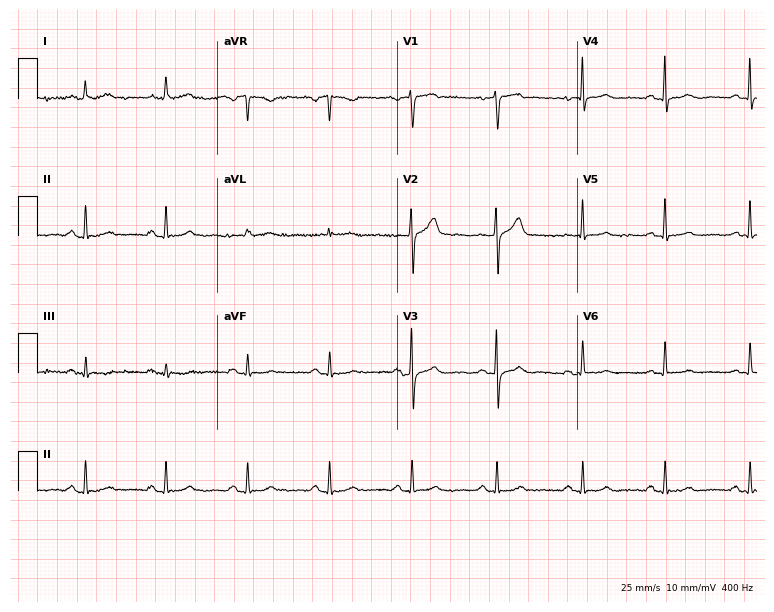
ECG — a 45-year-old female patient. Labelled as a normal ECG.